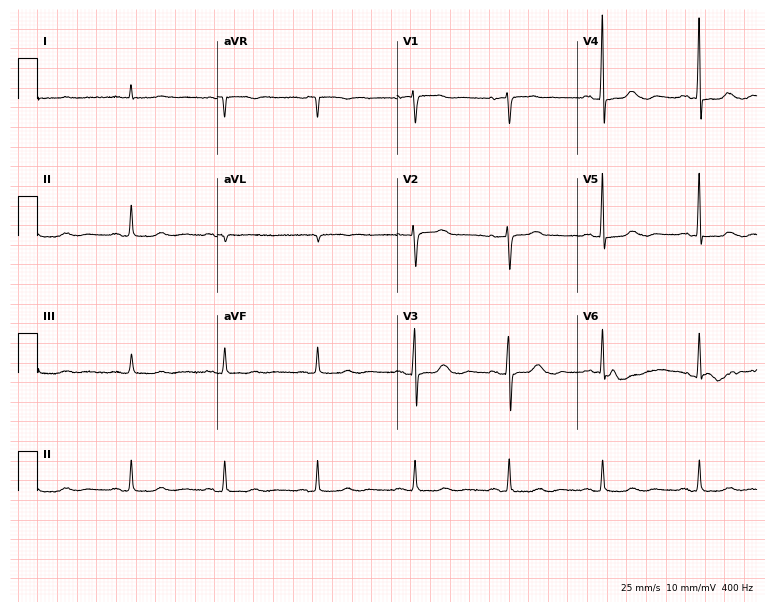
Standard 12-lead ECG recorded from an 81-year-old woman (7.3-second recording at 400 Hz). None of these six findings is recorded: first-degree AV block, right bundle branch block (RBBB), left bundle branch block (LBBB), sinus bradycardia, atrial fibrillation (AF), sinus tachycardia. Findings outside these six are not listed.